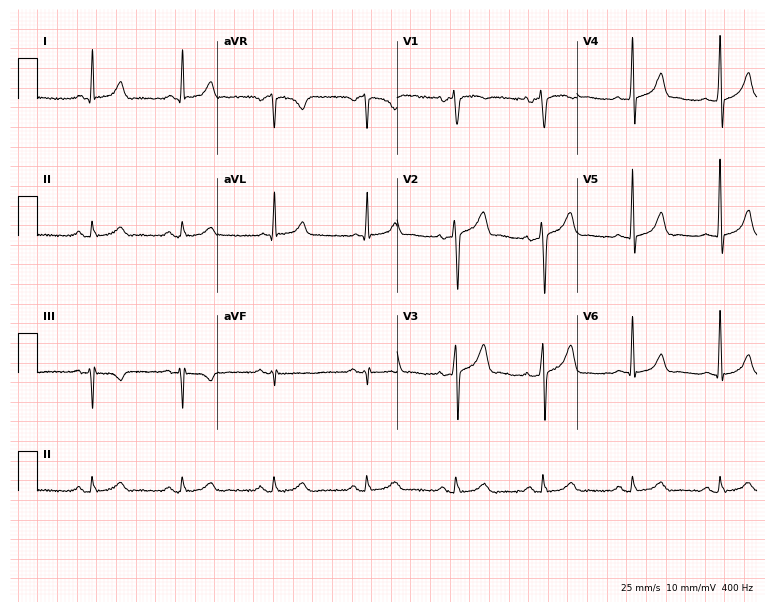
Resting 12-lead electrocardiogram (7.3-second recording at 400 Hz). Patient: a 70-year-old male. Read as a normal ECG.